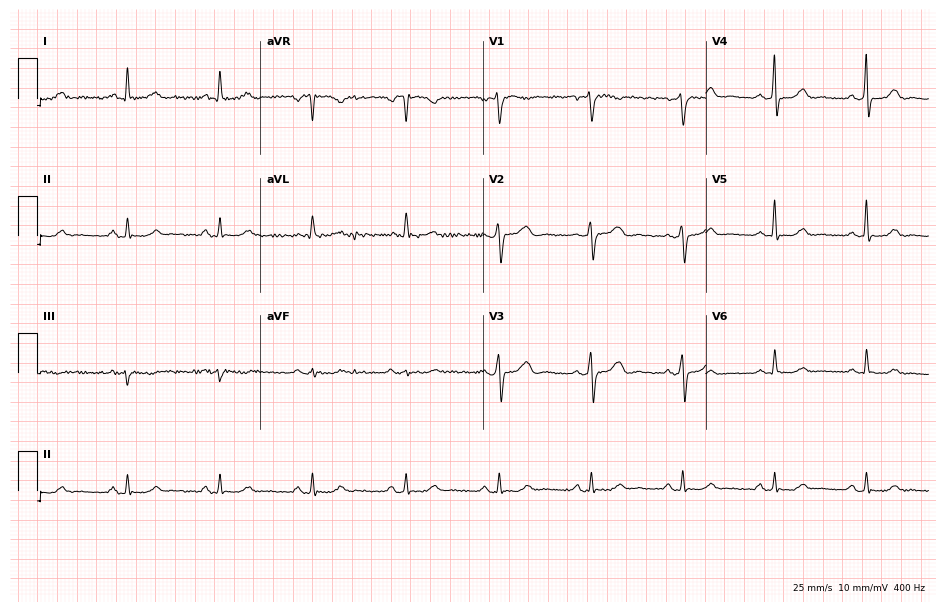
Resting 12-lead electrocardiogram. Patient: a 48-year-old woman. Read as a normal ECG.